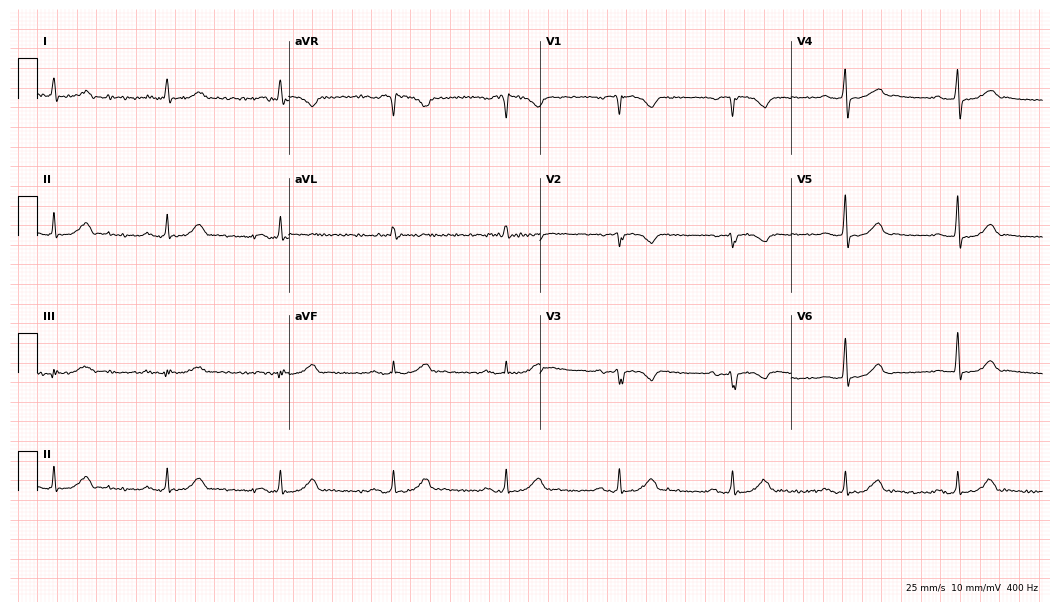
12-lead ECG (10.2-second recording at 400 Hz) from a male, 75 years old. Screened for six findings — first-degree AV block, right bundle branch block, left bundle branch block, sinus bradycardia, atrial fibrillation, sinus tachycardia — none is recorded. Findings outside these six are not listed.